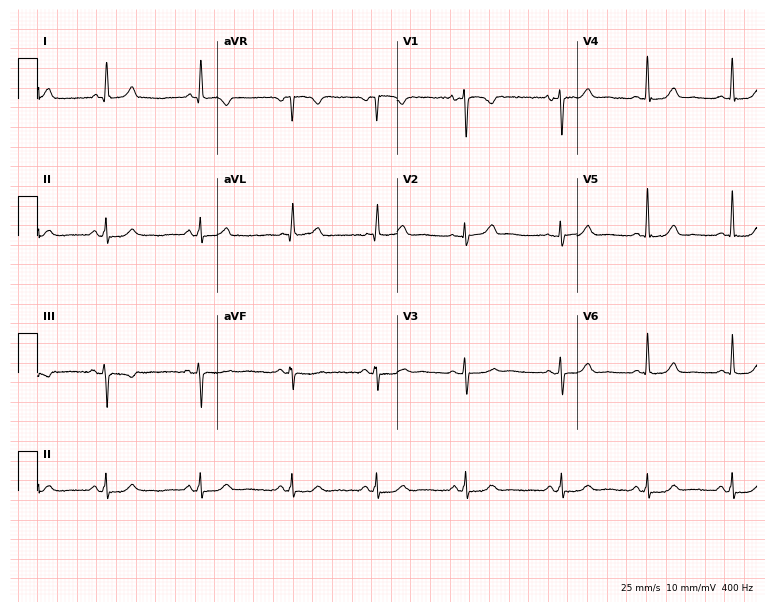
12-lead ECG (7.3-second recording at 400 Hz) from a 45-year-old woman. Labelled as a normal ECG.